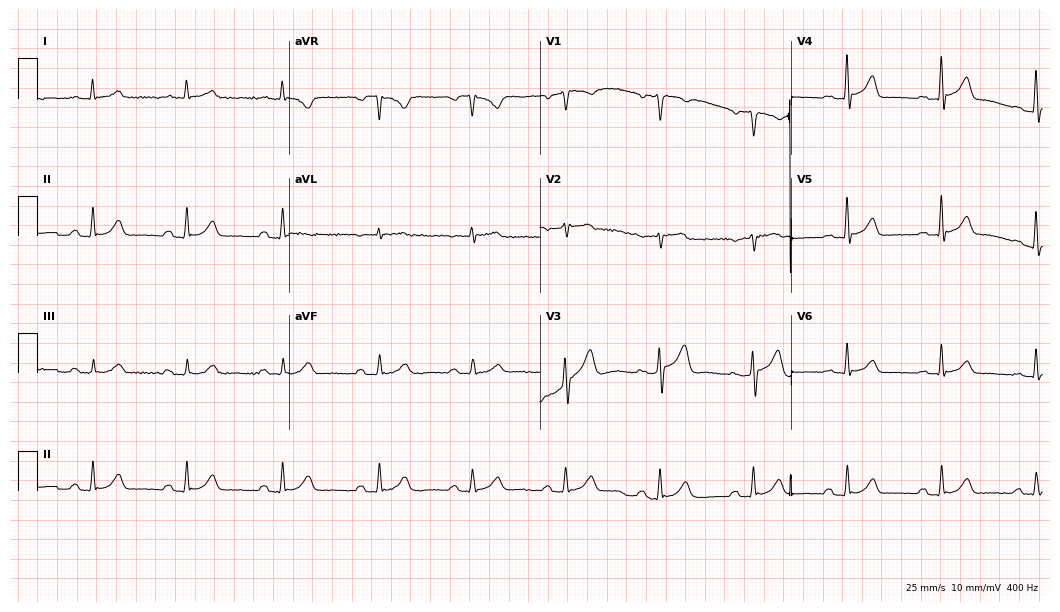
12-lead ECG from a male, 71 years old. Labelled as a normal ECG.